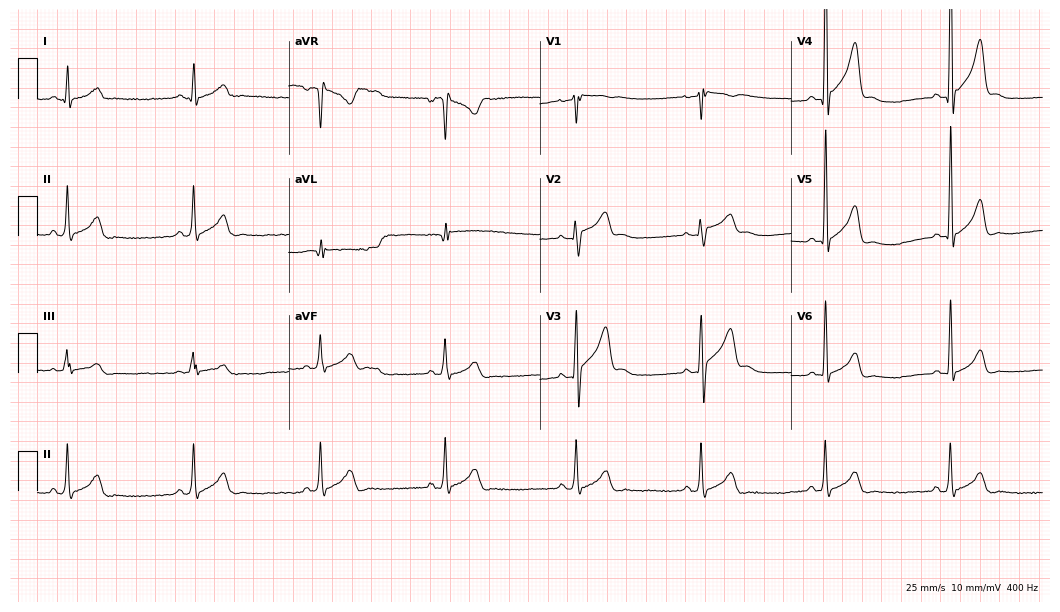
Resting 12-lead electrocardiogram. Patient: a male, 52 years old. The tracing shows sinus bradycardia (a sinus rate of 50 beats per minute or less).